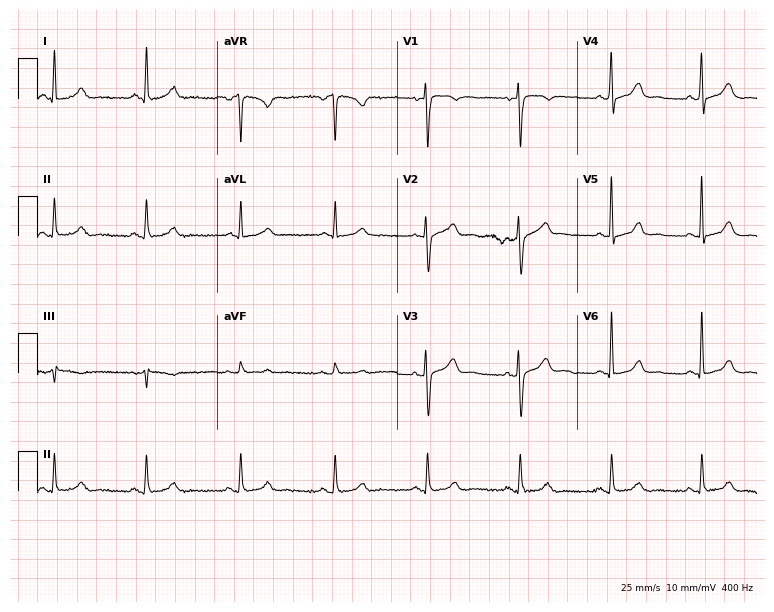
Standard 12-lead ECG recorded from a female, 56 years old (7.3-second recording at 400 Hz). Read as a normal ECG.